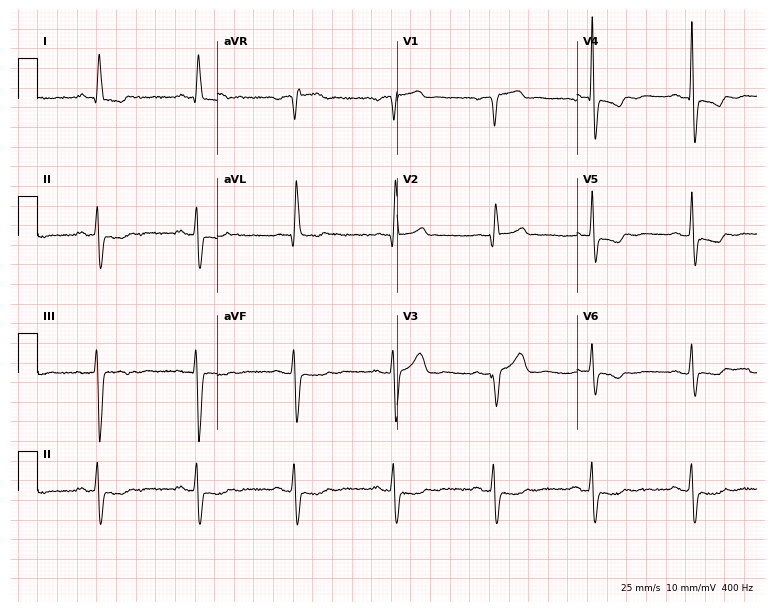
Resting 12-lead electrocardiogram. Patient: a 79-year-old male. None of these six findings is recorded: first-degree AV block, right bundle branch block, left bundle branch block, sinus bradycardia, atrial fibrillation, sinus tachycardia.